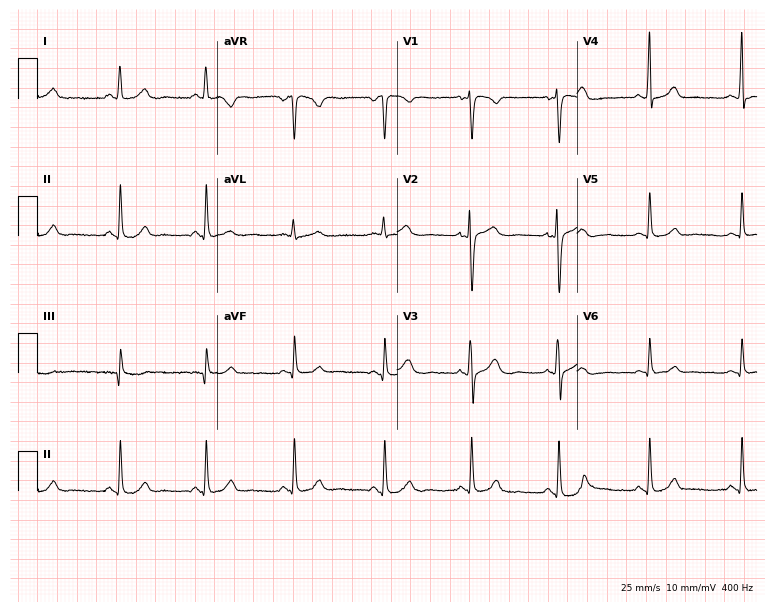
Electrocardiogram, a female patient, 45 years old. Of the six screened findings (first-degree AV block, right bundle branch block (RBBB), left bundle branch block (LBBB), sinus bradycardia, atrial fibrillation (AF), sinus tachycardia), none is recorded.